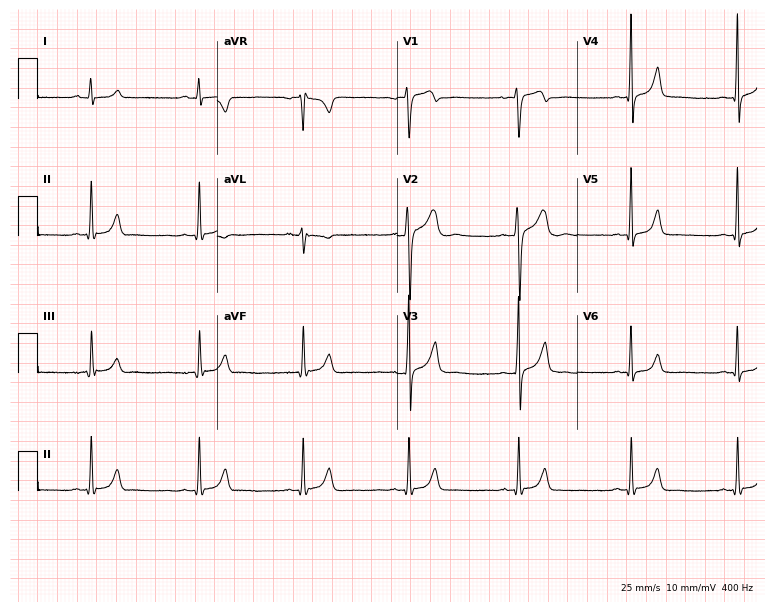
12-lead ECG from a 20-year-old man. Labelled as a normal ECG.